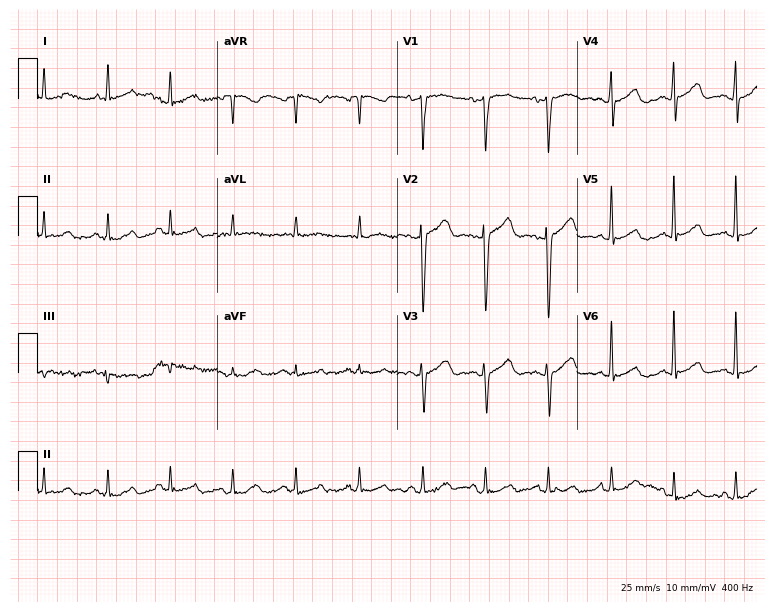
ECG (7.3-second recording at 400 Hz) — a male, 56 years old. Screened for six findings — first-degree AV block, right bundle branch block (RBBB), left bundle branch block (LBBB), sinus bradycardia, atrial fibrillation (AF), sinus tachycardia — none is recorded. Other findings, if any, are not listed.